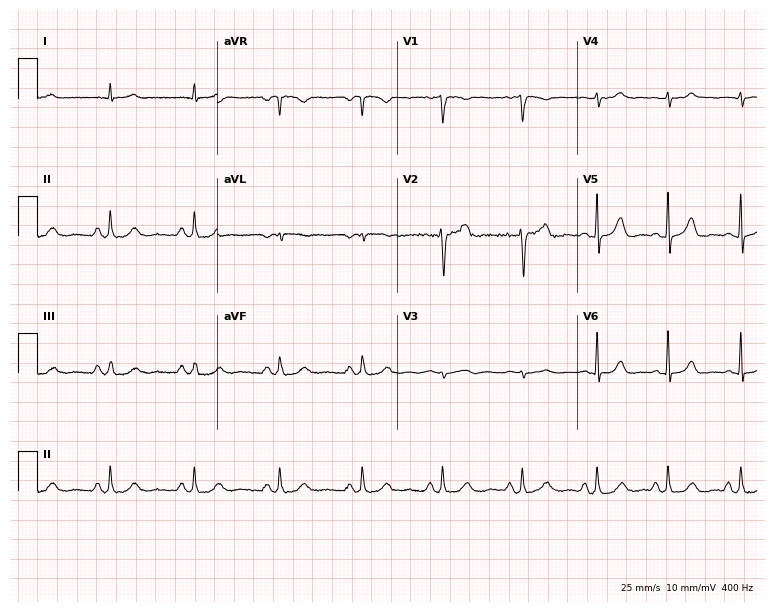
Electrocardiogram (7.3-second recording at 400 Hz), a male, 64 years old. Overall reading on record: normal ECG.